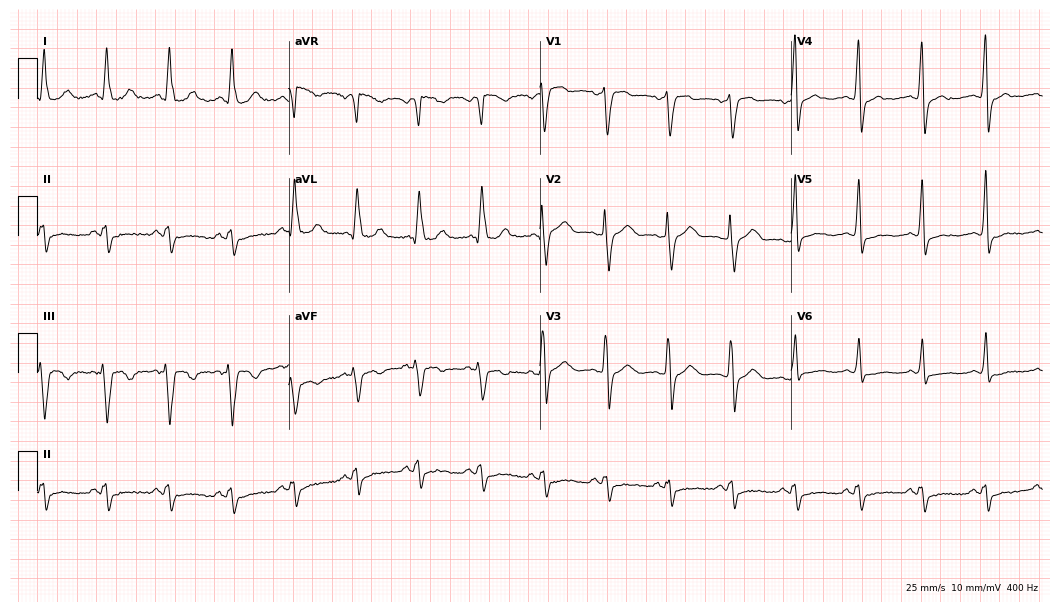
ECG (10.2-second recording at 400 Hz) — a female, 71 years old. Screened for six findings — first-degree AV block, right bundle branch block, left bundle branch block, sinus bradycardia, atrial fibrillation, sinus tachycardia — none is recorded.